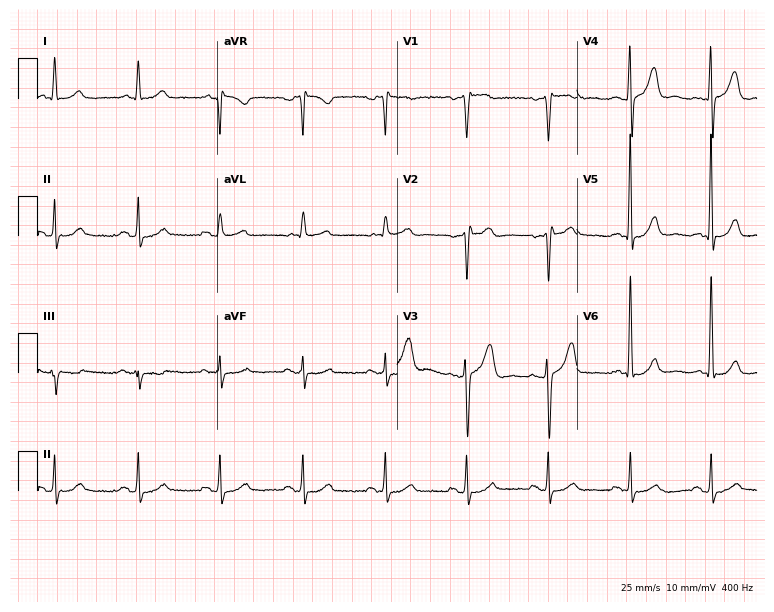
ECG (7.3-second recording at 400 Hz) — a 59-year-old man. Labelled as a normal ECG.